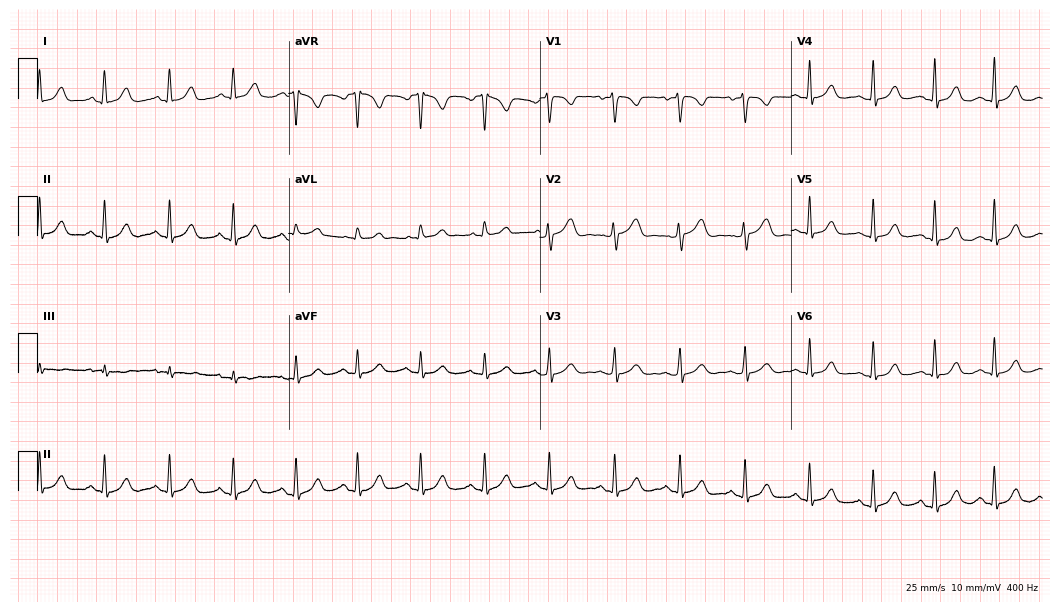
Electrocardiogram (10.2-second recording at 400 Hz), a 36-year-old female. Overall reading on record: normal ECG.